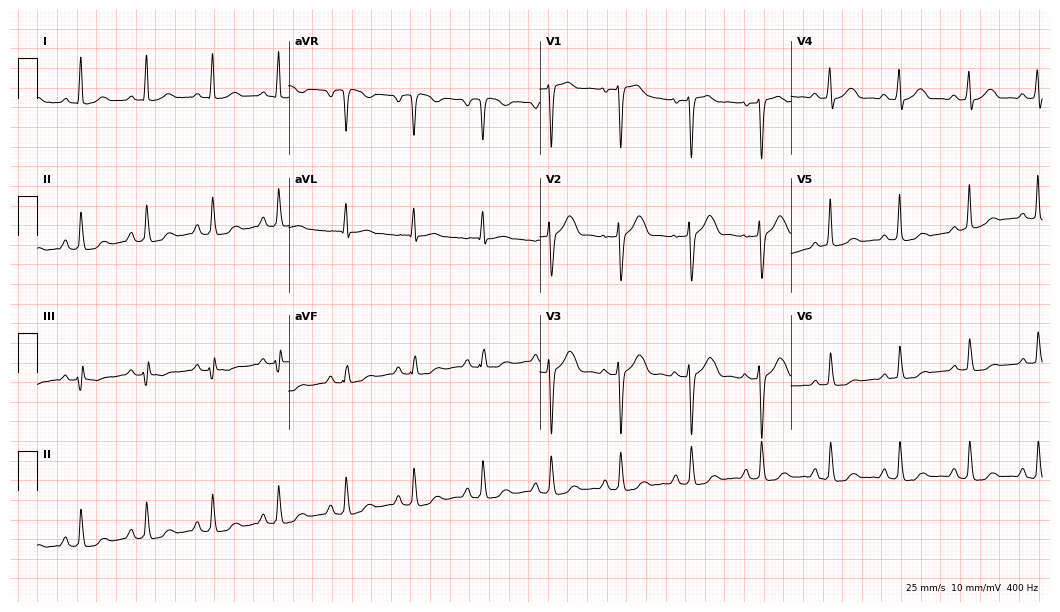
Electrocardiogram, a 48-year-old female patient. Overall reading on record: normal ECG.